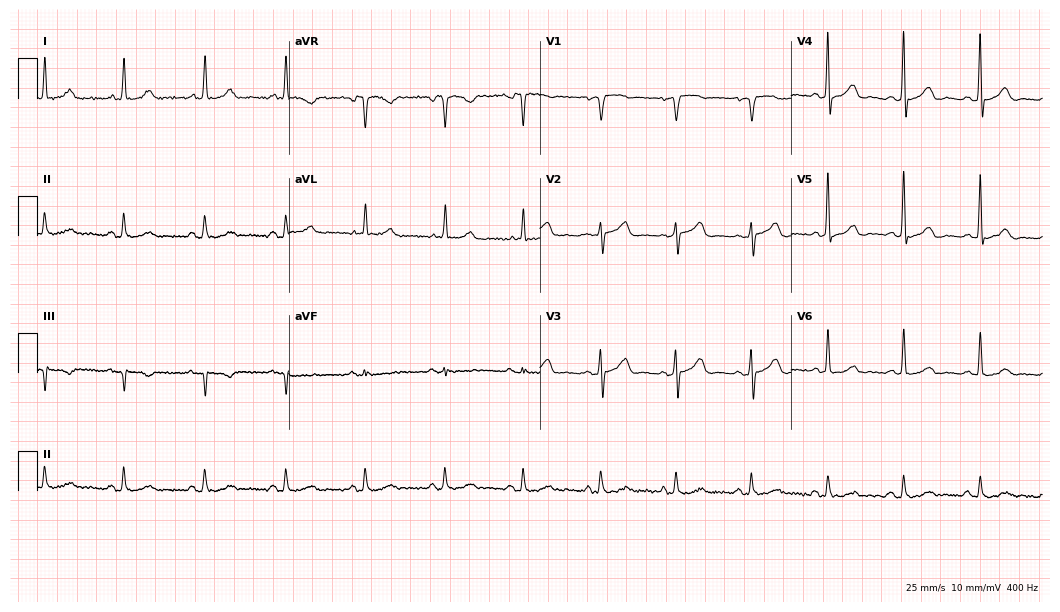
ECG (10.2-second recording at 400 Hz) — an 81-year-old female. Screened for six findings — first-degree AV block, right bundle branch block, left bundle branch block, sinus bradycardia, atrial fibrillation, sinus tachycardia — none is recorded.